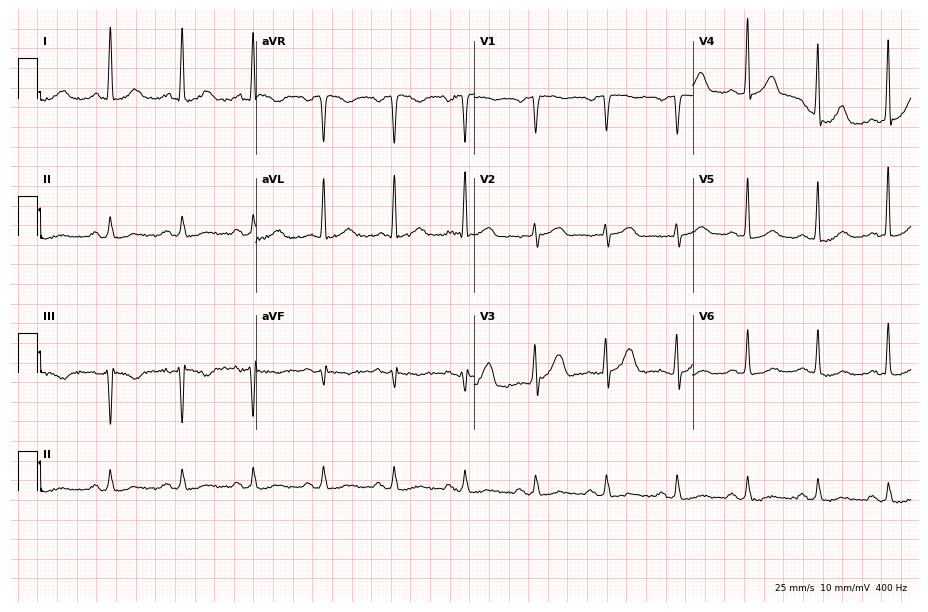
12-lead ECG from a male patient, 74 years old (8.9-second recording at 400 Hz). No first-degree AV block, right bundle branch block (RBBB), left bundle branch block (LBBB), sinus bradycardia, atrial fibrillation (AF) or sinus tachycardia recorded for this tracing. Findings outside these six are not listed.